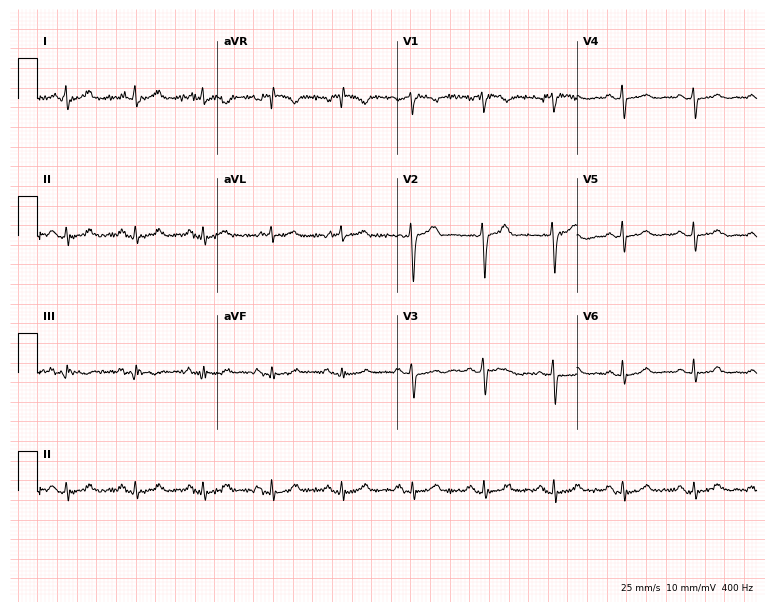
Resting 12-lead electrocardiogram. Patient: a 52-year-old female. Read as a normal ECG.